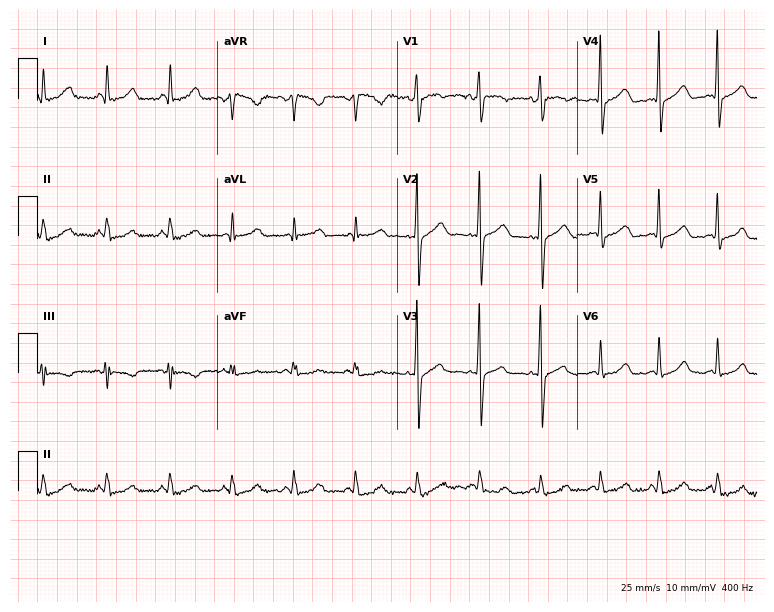
Standard 12-lead ECG recorded from a female, 42 years old (7.3-second recording at 400 Hz). Read as a normal ECG.